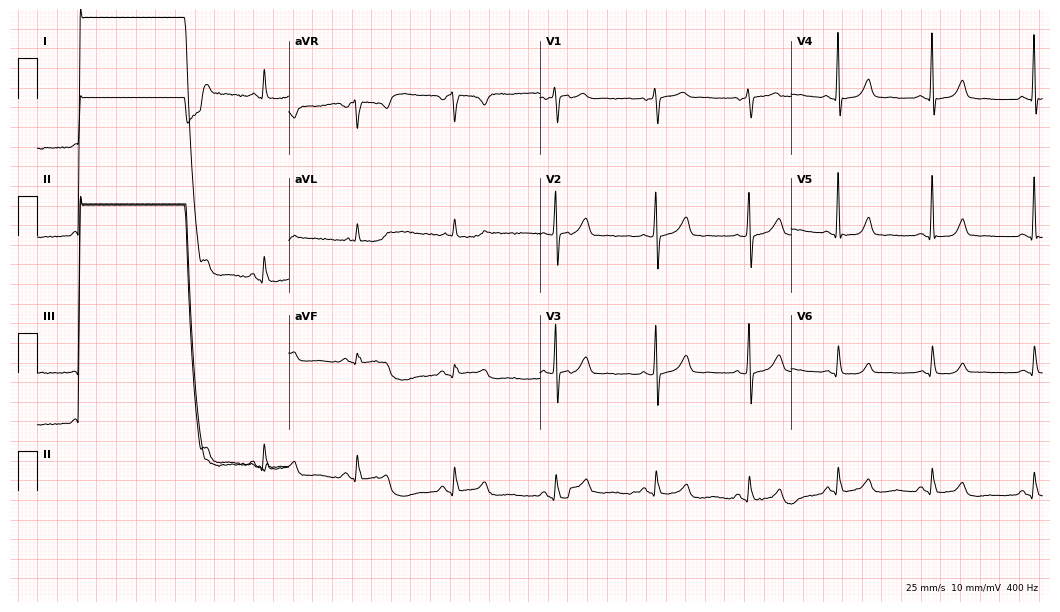
Standard 12-lead ECG recorded from a 78-year-old female (10.2-second recording at 400 Hz). Read as a normal ECG.